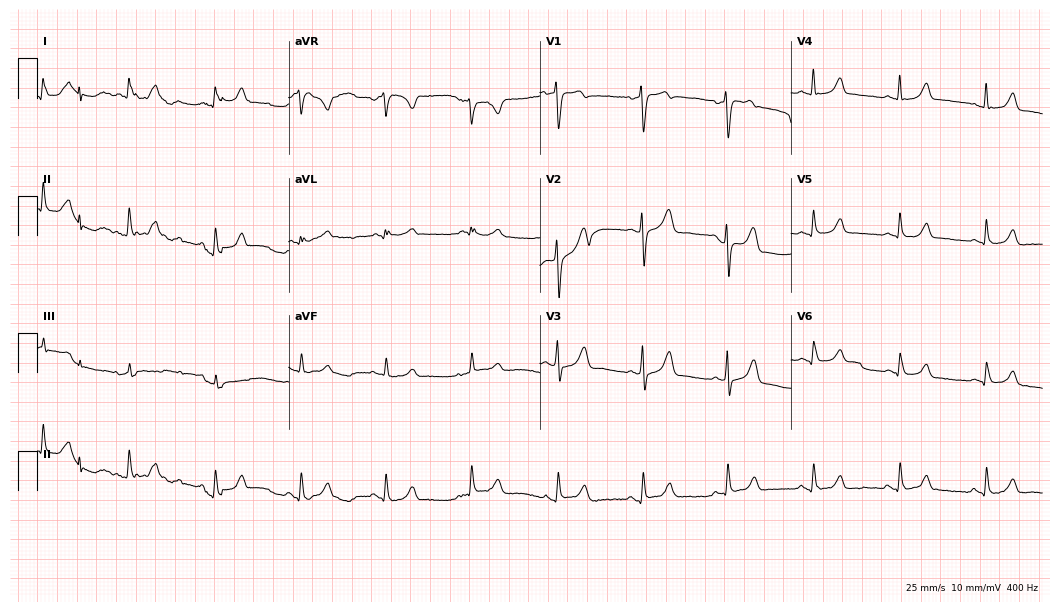
Resting 12-lead electrocardiogram. Patient: a female, 42 years old. Read as a normal ECG.